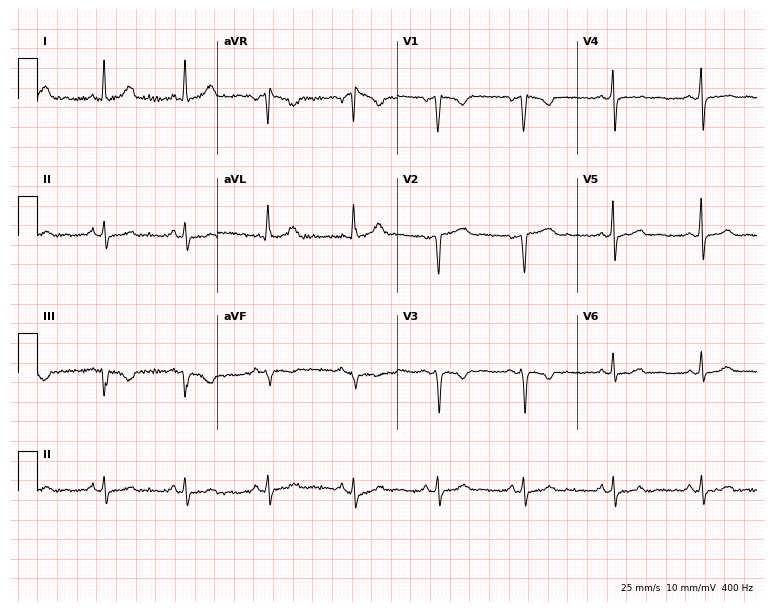
Resting 12-lead electrocardiogram (7.3-second recording at 400 Hz). Patient: a woman, 46 years old. None of these six findings is recorded: first-degree AV block, right bundle branch block, left bundle branch block, sinus bradycardia, atrial fibrillation, sinus tachycardia. Only these six findings were labelled.